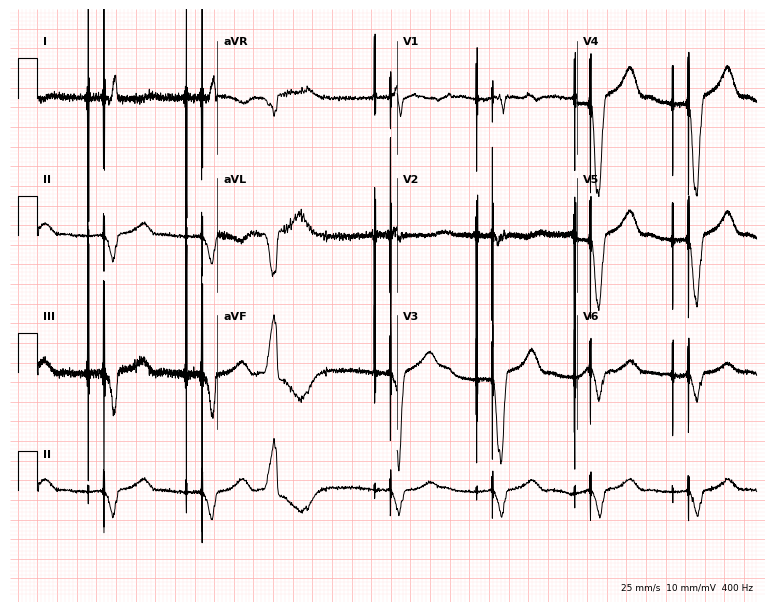
12-lead ECG from a female, 73 years old (7.3-second recording at 400 Hz). No first-degree AV block, right bundle branch block, left bundle branch block, sinus bradycardia, atrial fibrillation or sinus tachycardia recorded for this tracing. Only these six findings were labelled.